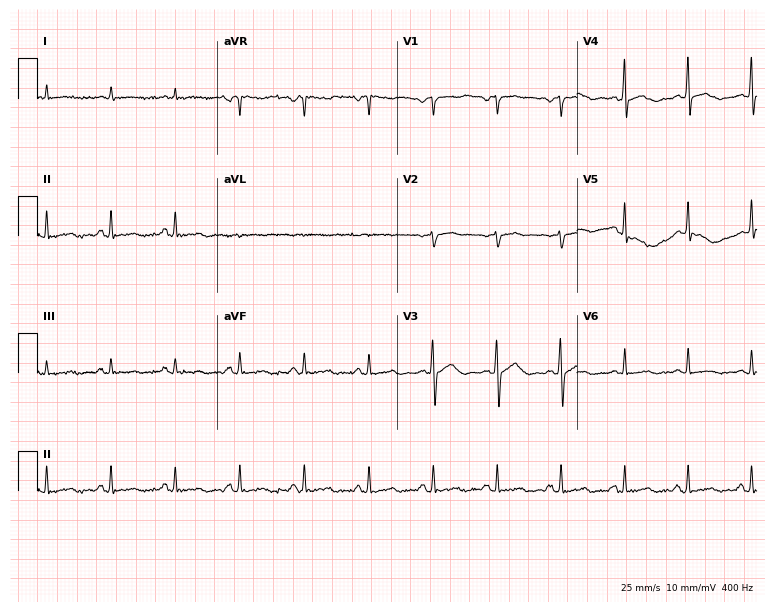
Standard 12-lead ECG recorded from a 49-year-old male patient (7.3-second recording at 400 Hz). None of these six findings is recorded: first-degree AV block, right bundle branch block, left bundle branch block, sinus bradycardia, atrial fibrillation, sinus tachycardia. Only these six findings were labelled.